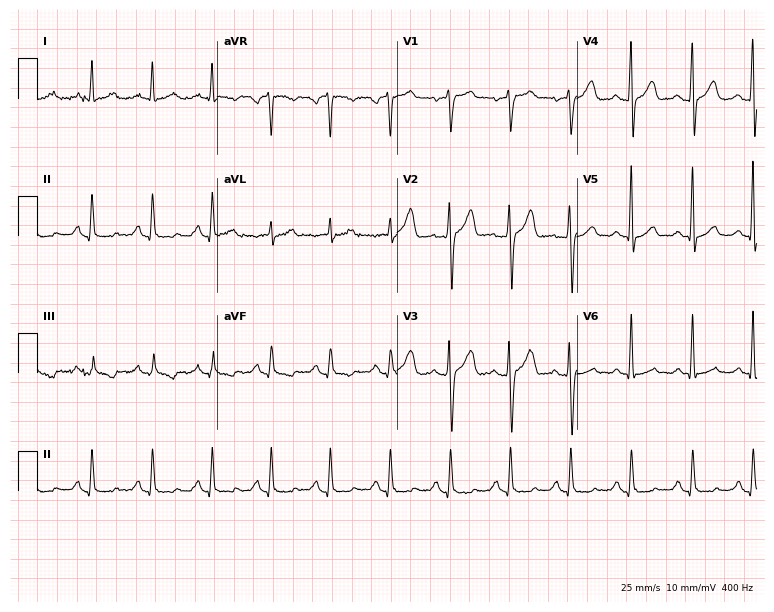
12-lead ECG from a man, 67 years old (7.3-second recording at 400 Hz). No first-degree AV block, right bundle branch block, left bundle branch block, sinus bradycardia, atrial fibrillation or sinus tachycardia recorded for this tracing.